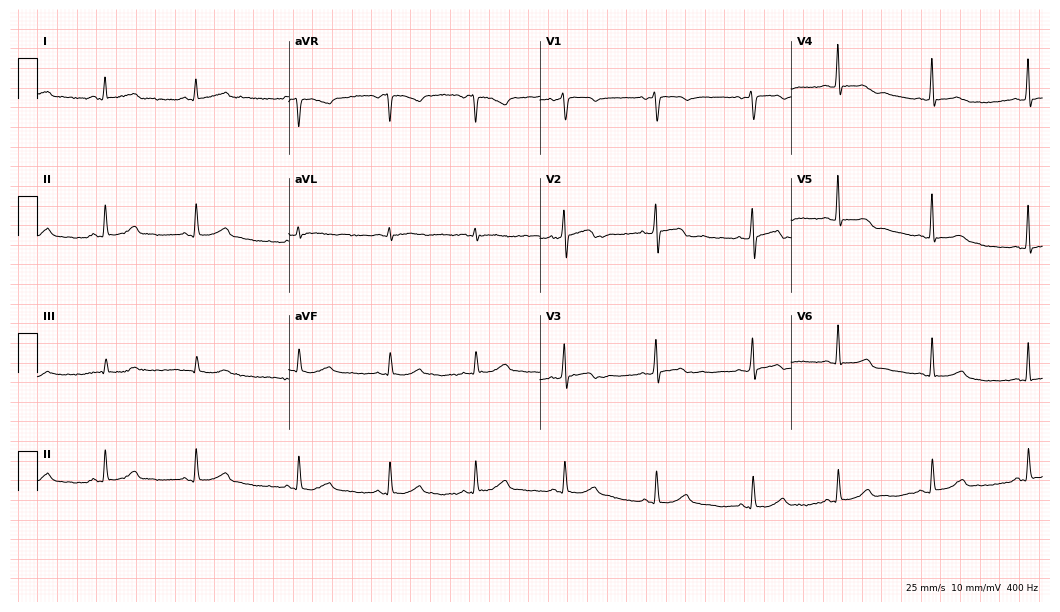
ECG (10.2-second recording at 400 Hz) — a 44-year-old female patient. Labelled as a normal ECG.